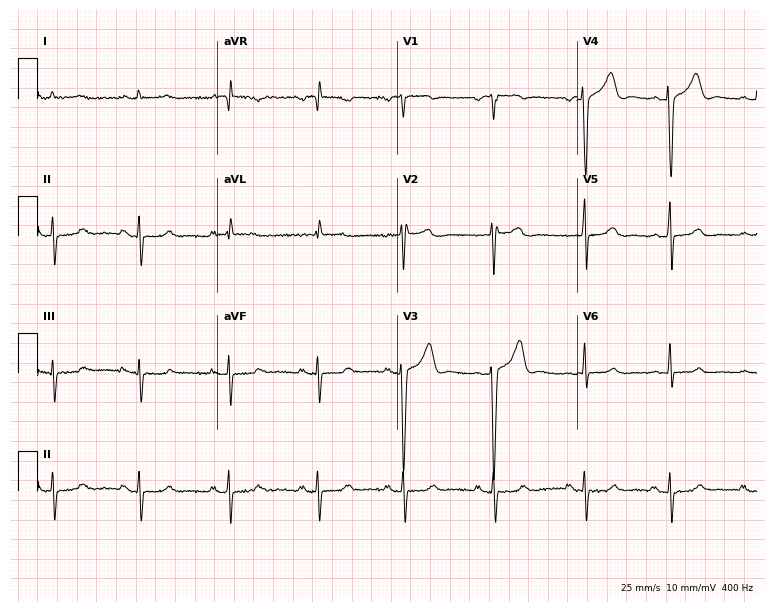
Electrocardiogram, a male patient, 38 years old. Of the six screened findings (first-degree AV block, right bundle branch block (RBBB), left bundle branch block (LBBB), sinus bradycardia, atrial fibrillation (AF), sinus tachycardia), none is recorded.